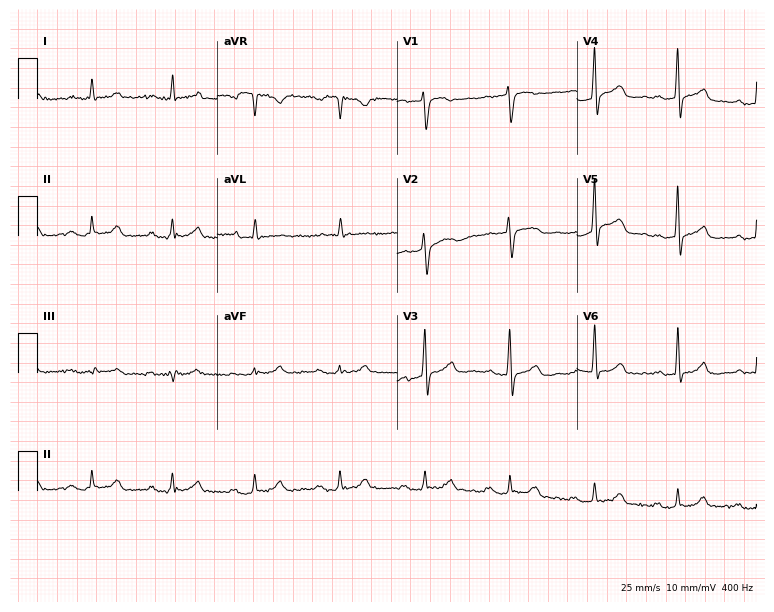
12-lead ECG from a male, 74 years old. Shows first-degree AV block.